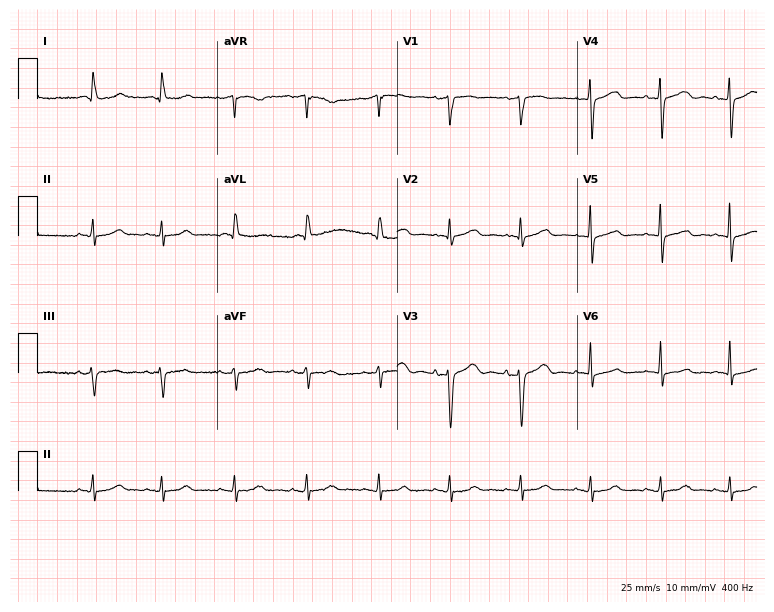
ECG — a female patient, 85 years old. Labelled as a normal ECG.